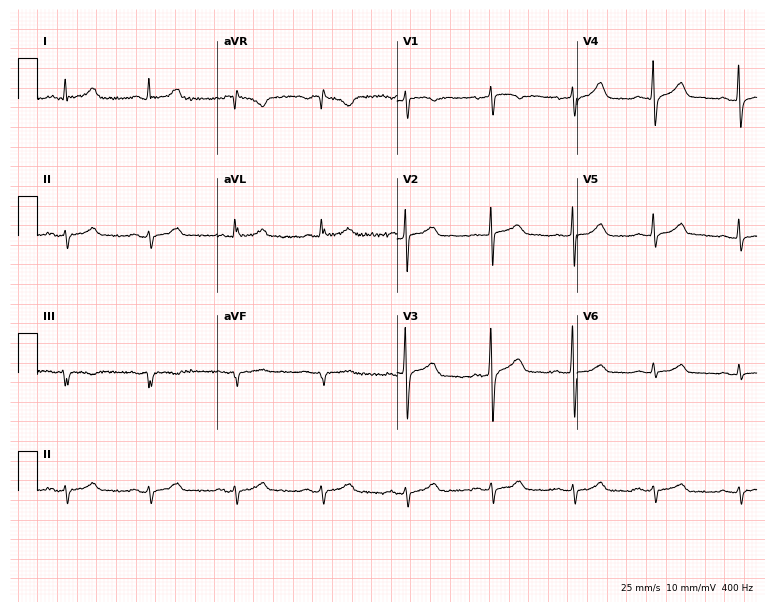
Standard 12-lead ECG recorded from a 48-year-old male. None of these six findings is recorded: first-degree AV block, right bundle branch block (RBBB), left bundle branch block (LBBB), sinus bradycardia, atrial fibrillation (AF), sinus tachycardia. Only these six findings were labelled.